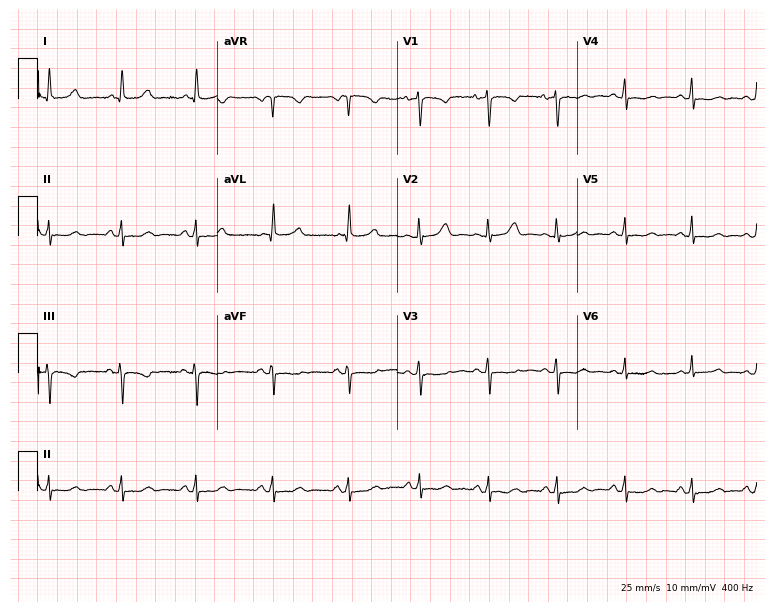
Resting 12-lead electrocardiogram (7.3-second recording at 400 Hz). Patient: a 48-year-old female. Read as a normal ECG.